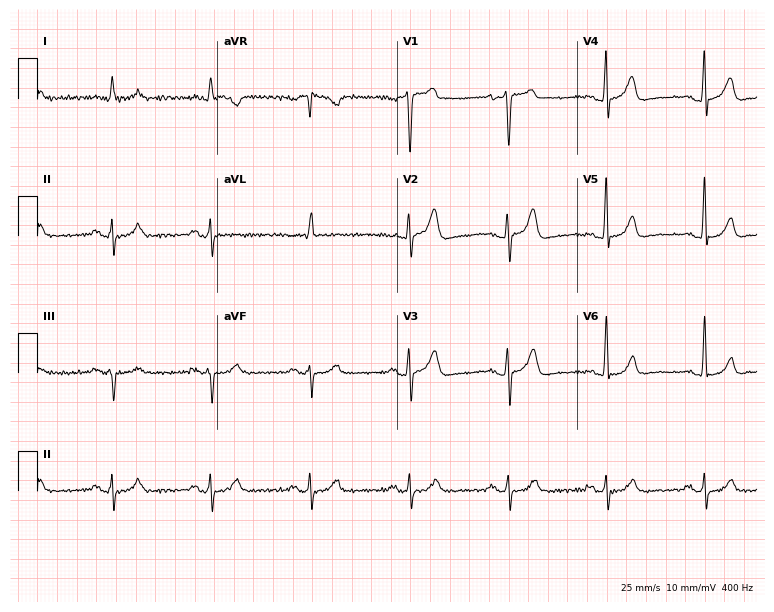
ECG — a 69-year-old male patient. Labelled as a normal ECG.